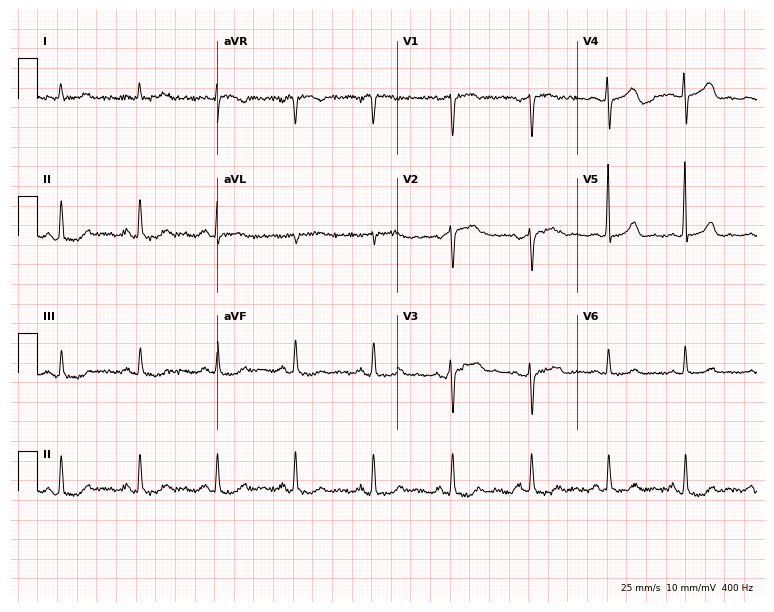
Resting 12-lead electrocardiogram (7.3-second recording at 400 Hz). Patient: a male, 66 years old. None of these six findings is recorded: first-degree AV block, right bundle branch block, left bundle branch block, sinus bradycardia, atrial fibrillation, sinus tachycardia. Only these six findings were labelled.